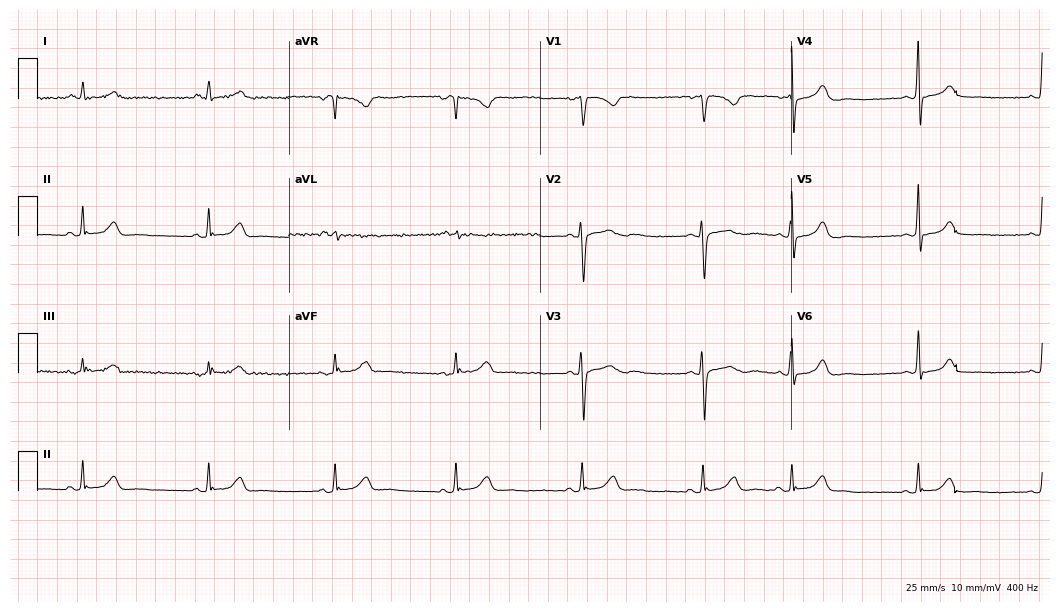
12-lead ECG from a 23-year-old female (10.2-second recording at 400 Hz). Shows sinus bradycardia (a sinus rate of 50 beats per minute or less).